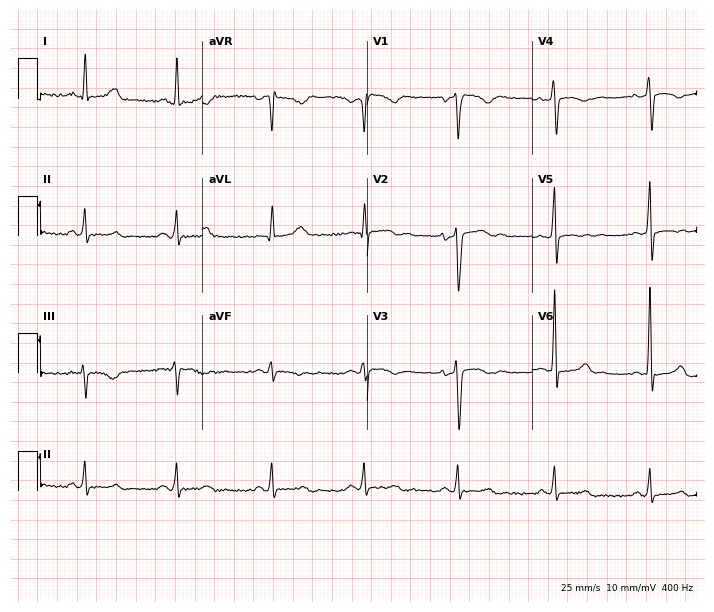
12-lead ECG from a 45-year-old male patient. No first-degree AV block, right bundle branch block, left bundle branch block, sinus bradycardia, atrial fibrillation or sinus tachycardia recorded for this tracing. Findings outside these six are not listed.